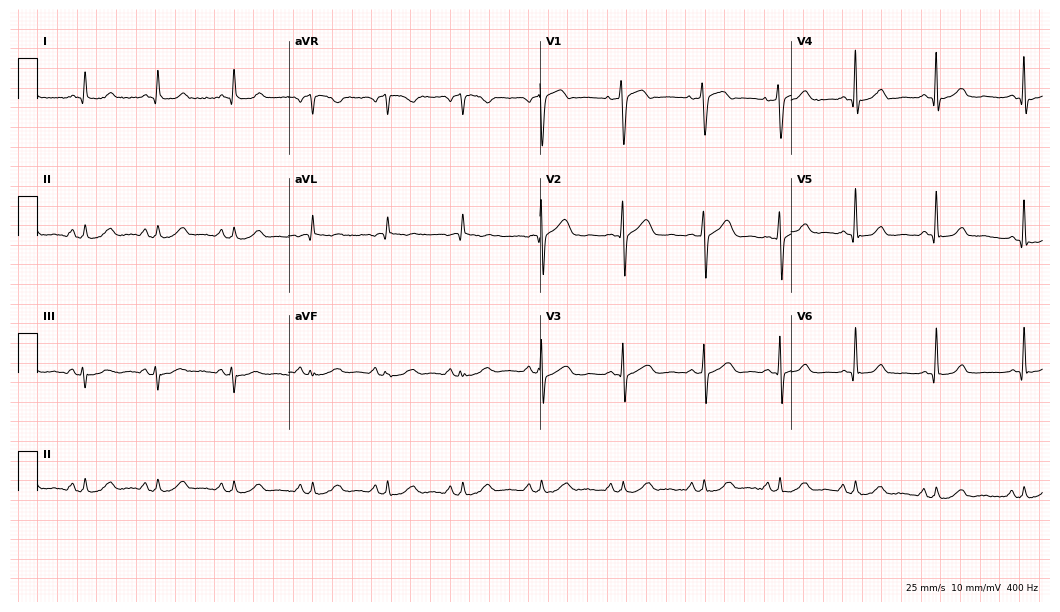
Electrocardiogram, a female, 50 years old. Overall reading on record: normal ECG.